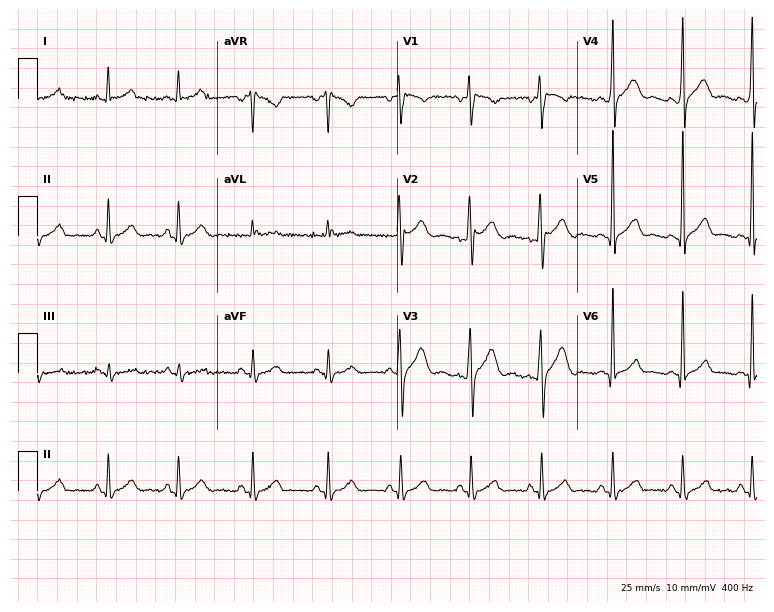
12-lead ECG from a 26-year-old male patient. Labelled as a normal ECG.